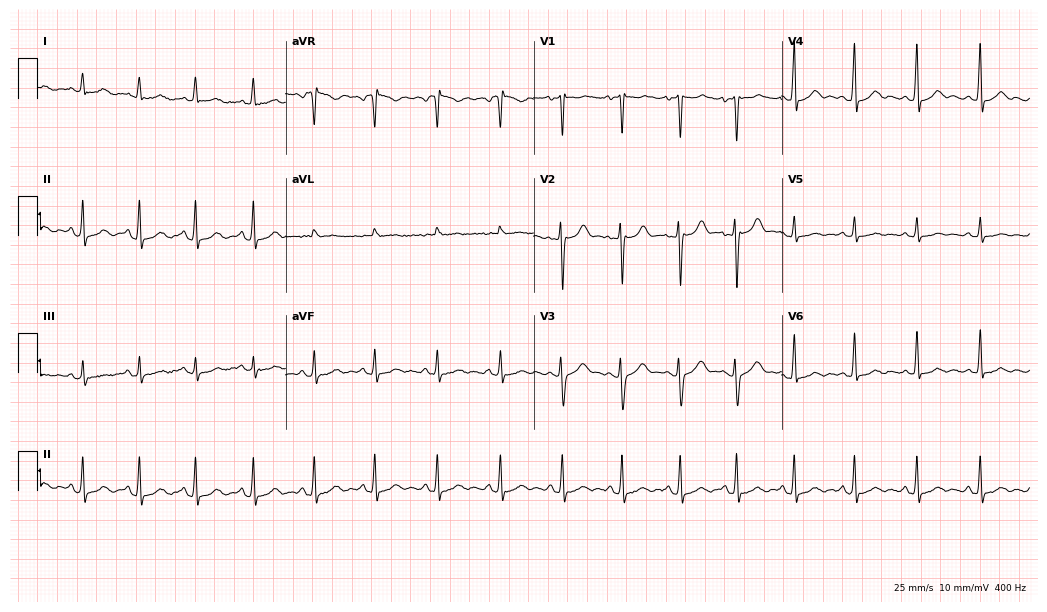
Electrocardiogram, a 22-year-old female. Of the six screened findings (first-degree AV block, right bundle branch block (RBBB), left bundle branch block (LBBB), sinus bradycardia, atrial fibrillation (AF), sinus tachycardia), none is recorded. Only these six findings were labelled.